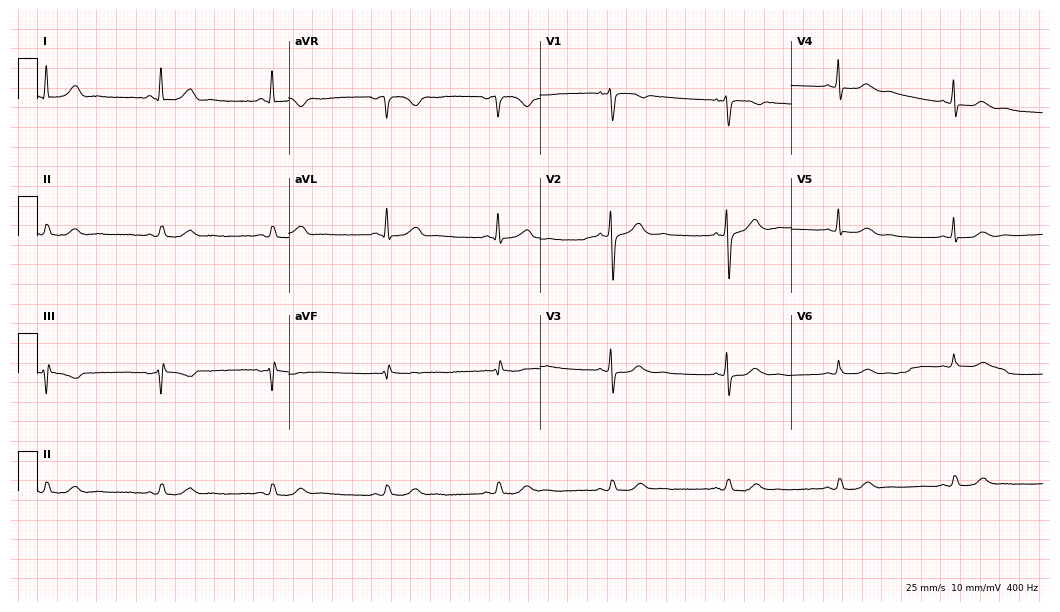
12-lead ECG from a 70-year-old female patient. Screened for six findings — first-degree AV block, right bundle branch block, left bundle branch block, sinus bradycardia, atrial fibrillation, sinus tachycardia — none is recorded.